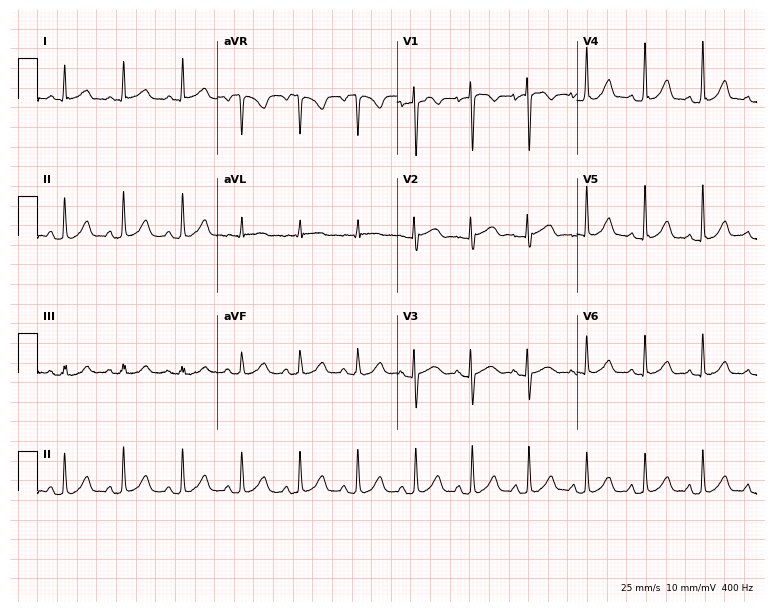
Standard 12-lead ECG recorded from a 37-year-old female (7.3-second recording at 400 Hz). The tracing shows sinus tachycardia (a sinus rate of 100 beats per minute or more).